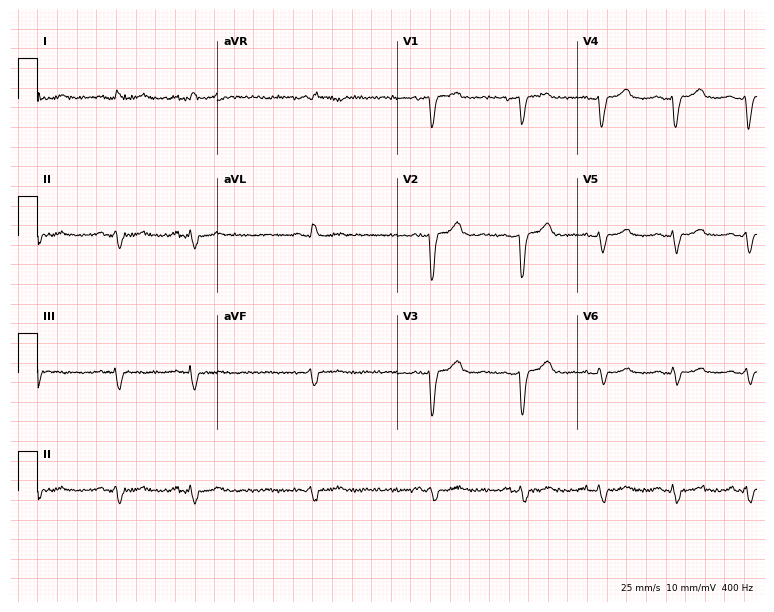
Electrocardiogram (7.3-second recording at 400 Hz), a woman, 55 years old. Of the six screened findings (first-degree AV block, right bundle branch block, left bundle branch block, sinus bradycardia, atrial fibrillation, sinus tachycardia), none is recorded.